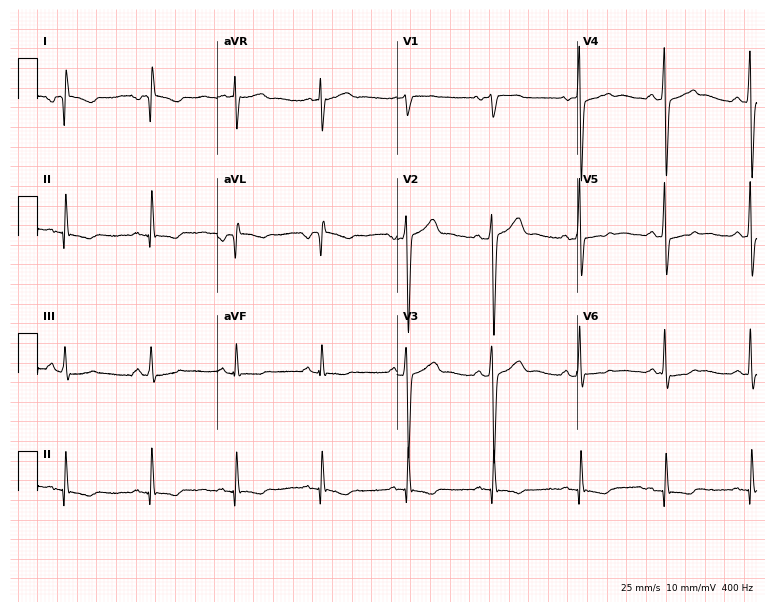
Electrocardiogram, a man, 40 years old. Of the six screened findings (first-degree AV block, right bundle branch block (RBBB), left bundle branch block (LBBB), sinus bradycardia, atrial fibrillation (AF), sinus tachycardia), none is recorded.